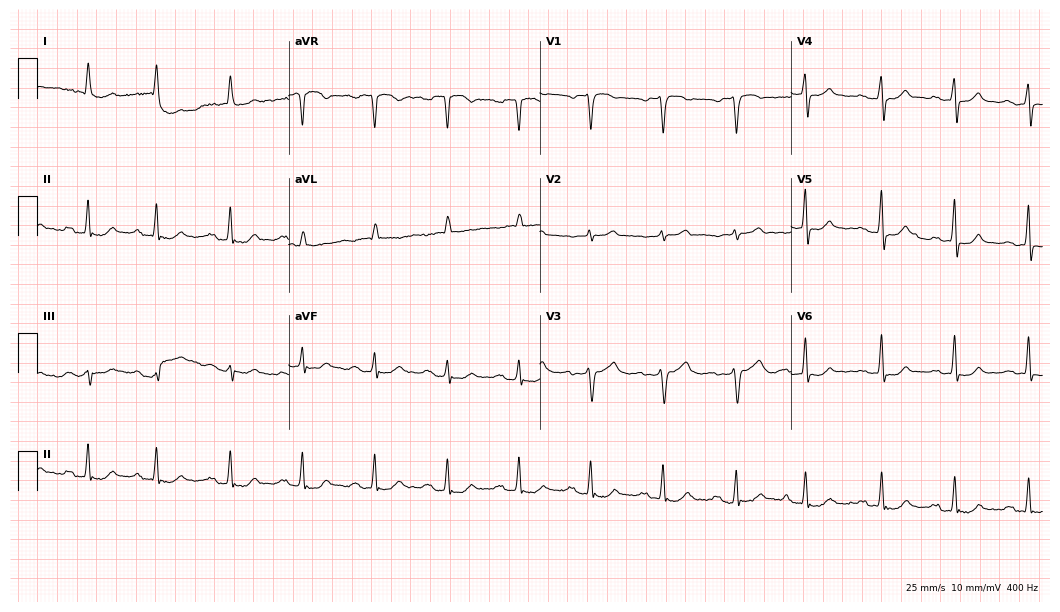
Electrocardiogram (10.2-second recording at 400 Hz), a woman, 67 years old. Interpretation includes first-degree AV block.